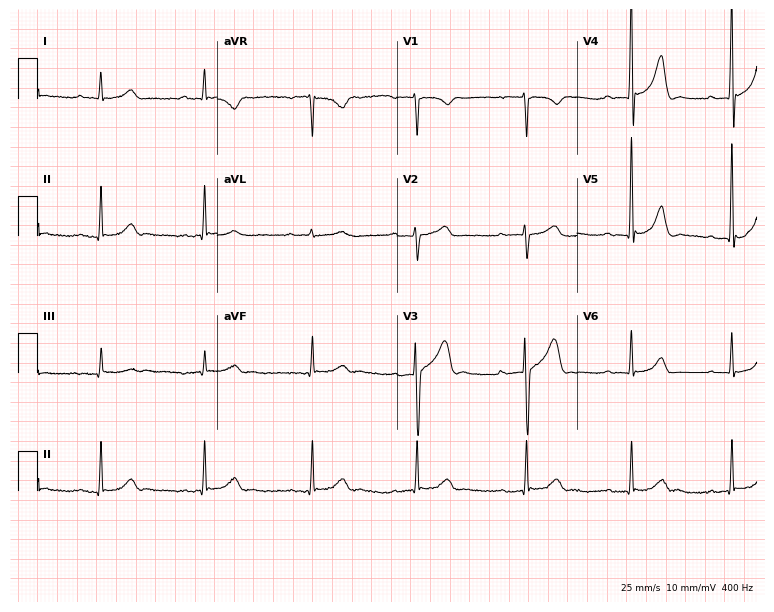
Standard 12-lead ECG recorded from a male, 61 years old (7.3-second recording at 400 Hz). The tracing shows first-degree AV block.